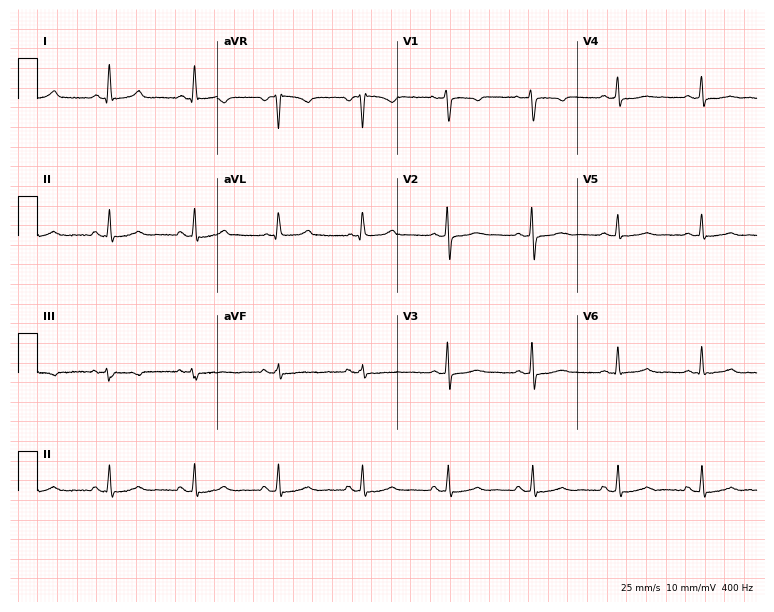
Standard 12-lead ECG recorded from a 52-year-old female patient. None of these six findings is recorded: first-degree AV block, right bundle branch block (RBBB), left bundle branch block (LBBB), sinus bradycardia, atrial fibrillation (AF), sinus tachycardia. Findings outside these six are not listed.